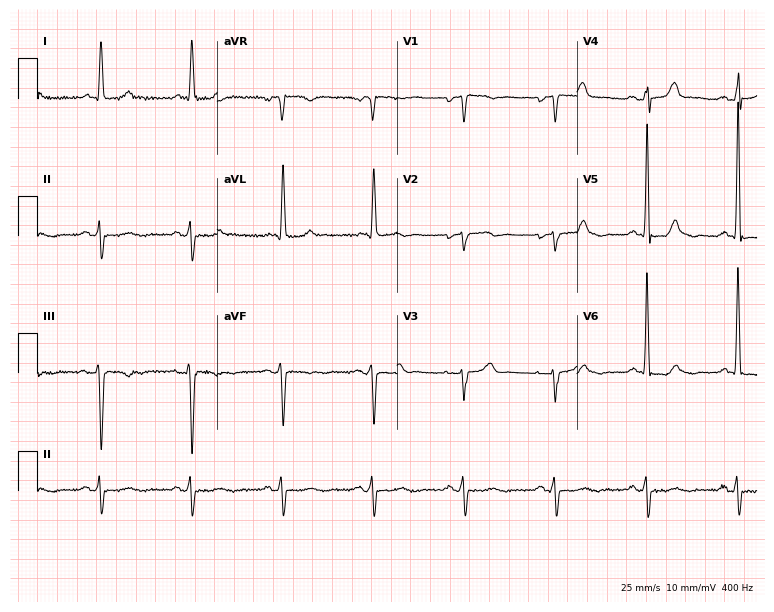
Resting 12-lead electrocardiogram (7.3-second recording at 400 Hz). Patient: an 80-year-old woman. None of these six findings is recorded: first-degree AV block, right bundle branch block (RBBB), left bundle branch block (LBBB), sinus bradycardia, atrial fibrillation (AF), sinus tachycardia.